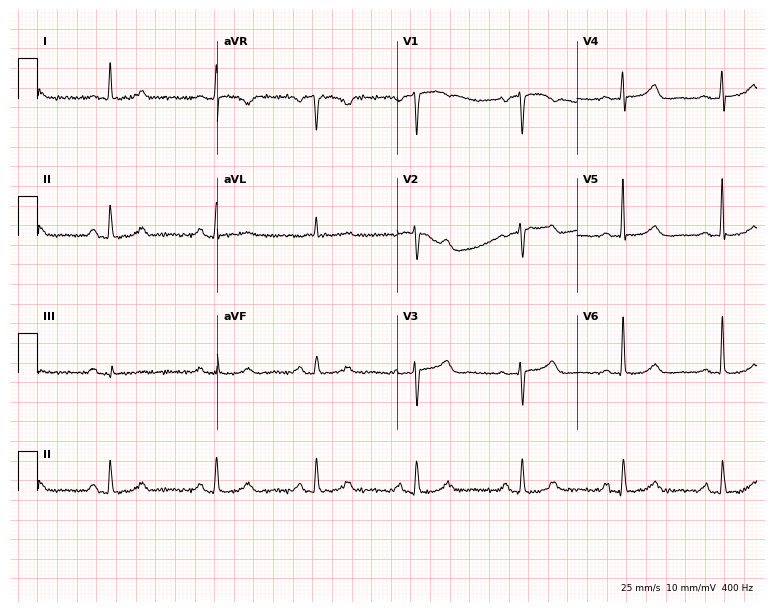
Resting 12-lead electrocardiogram (7.3-second recording at 400 Hz). Patient: a female, 82 years old. Read as a normal ECG.